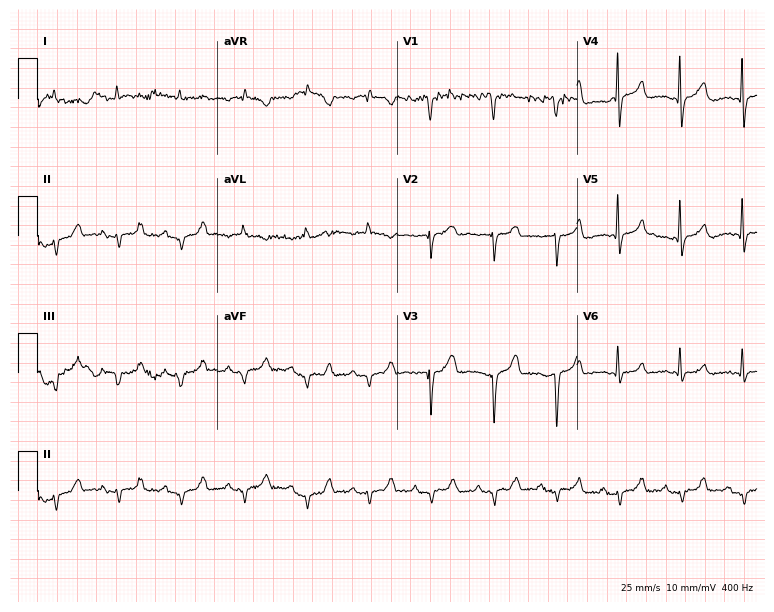
Standard 12-lead ECG recorded from a male, 83 years old (7.3-second recording at 400 Hz). None of these six findings is recorded: first-degree AV block, right bundle branch block (RBBB), left bundle branch block (LBBB), sinus bradycardia, atrial fibrillation (AF), sinus tachycardia. Only these six findings were labelled.